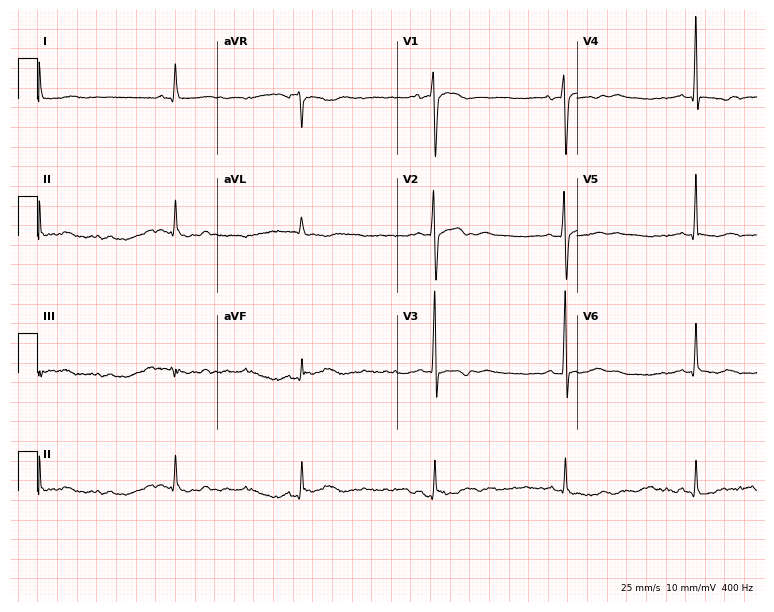
Standard 12-lead ECG recorded from a 74-year-old man (7.3-second recording at 400 Hz). The tracing shows sinus bradycardia (a sinus rate of 50 beats per minute or less).